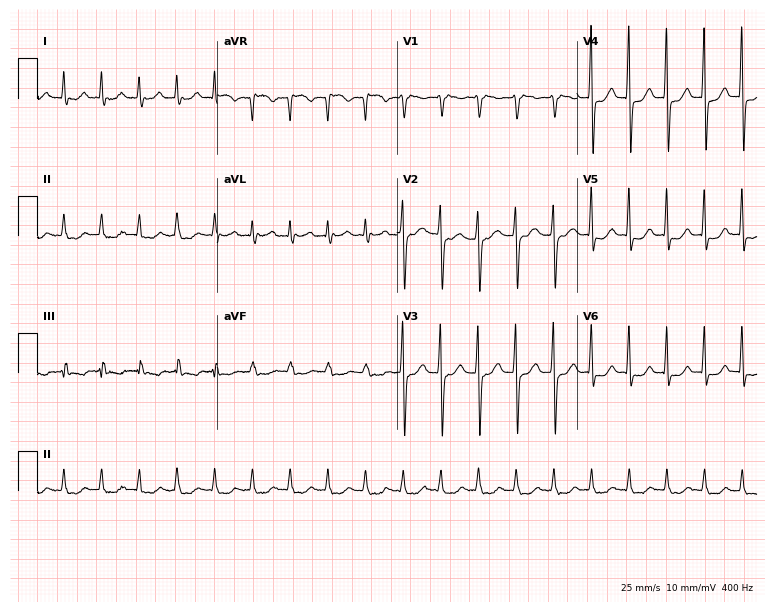
12-lead ECG from a 71-year-old female patient. Screened for six findings — first-degree AV block, right bundle branch block, left bundle branch block, sinus bradycardia, atrial fibrillation, sinus tachycardia — none is recorded. Findings outside these six are not listed.